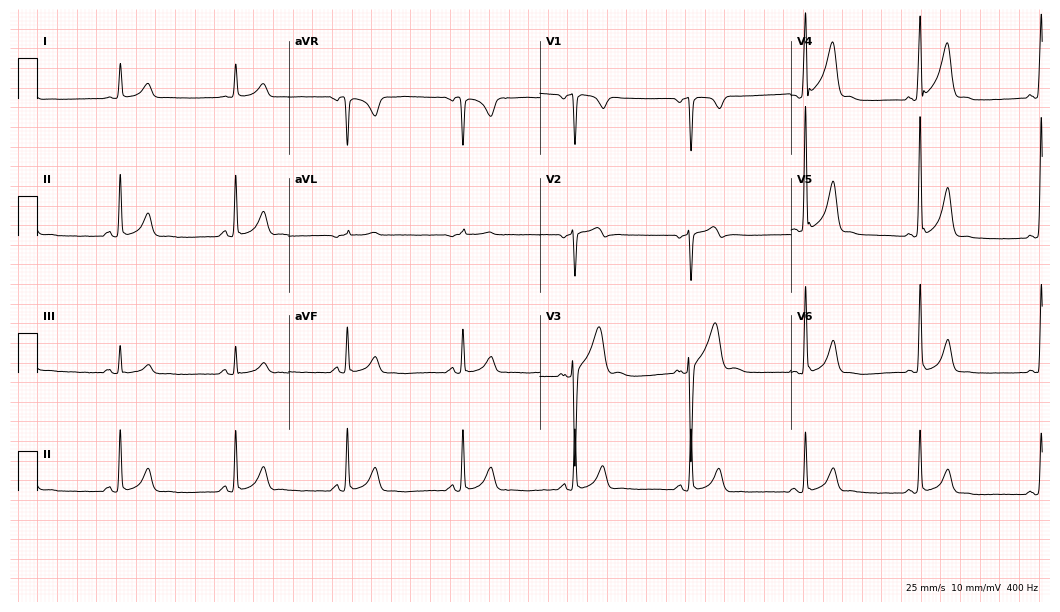
12-lead ECG (10.2-second recording at 400 Hz) from a 41-year-old male patient. Labelled as a normal ECG.